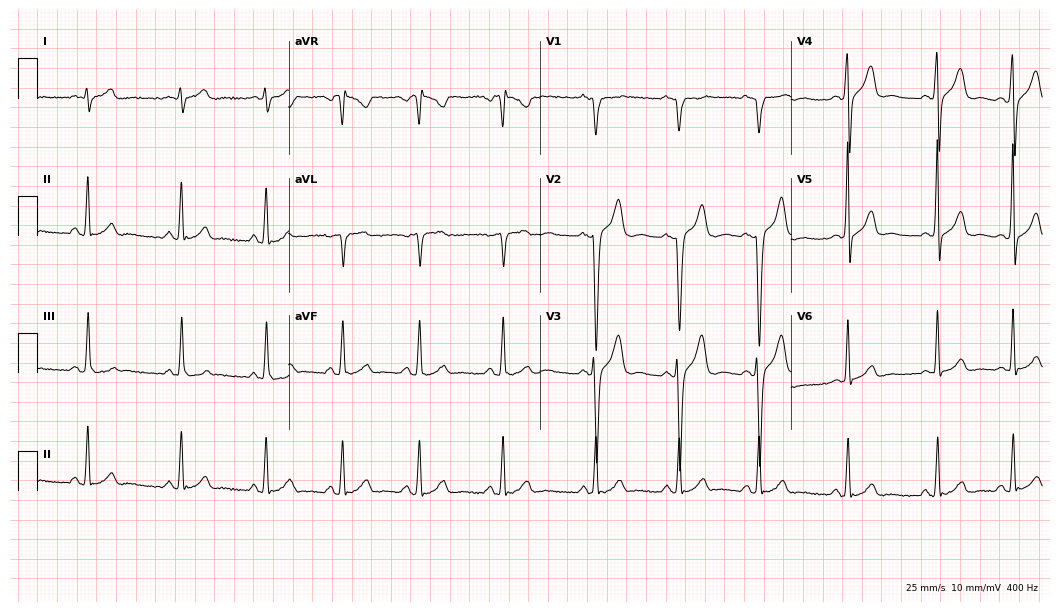
ECG (10.2-second recording at 400 Hz) — a 21-year-old male. Screened for six findings — first-degree AV block, right bundle branch block, left bundle branch block, sinus bradycardia, atrial fibrillation, sinus tachycardia — none is recorded. Findings outside these six are not listed.